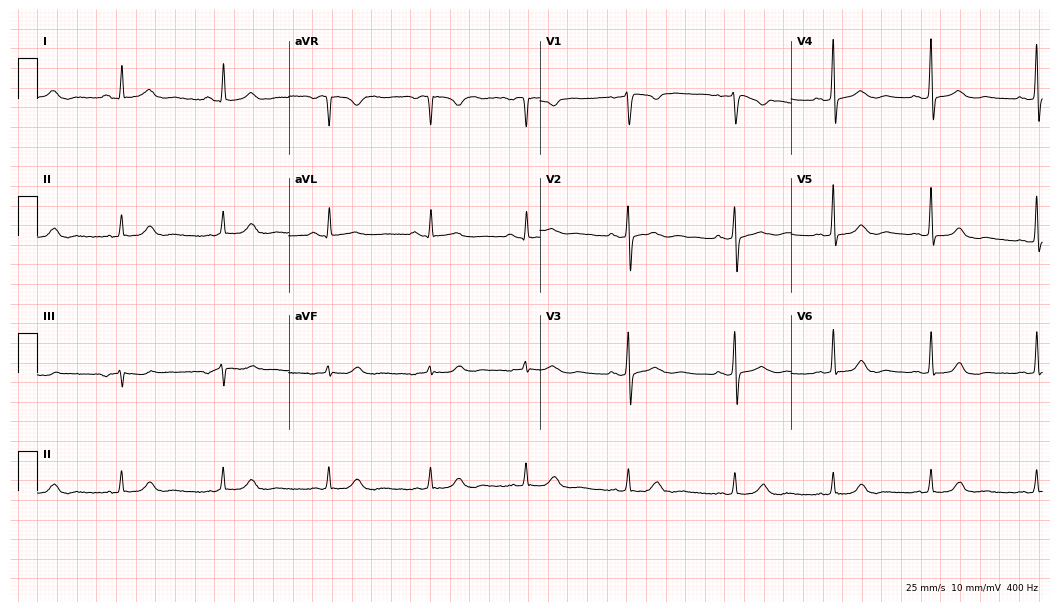
Standard 12-lead ECG recorded from a female, 29 years old. Read as a normal ECG.